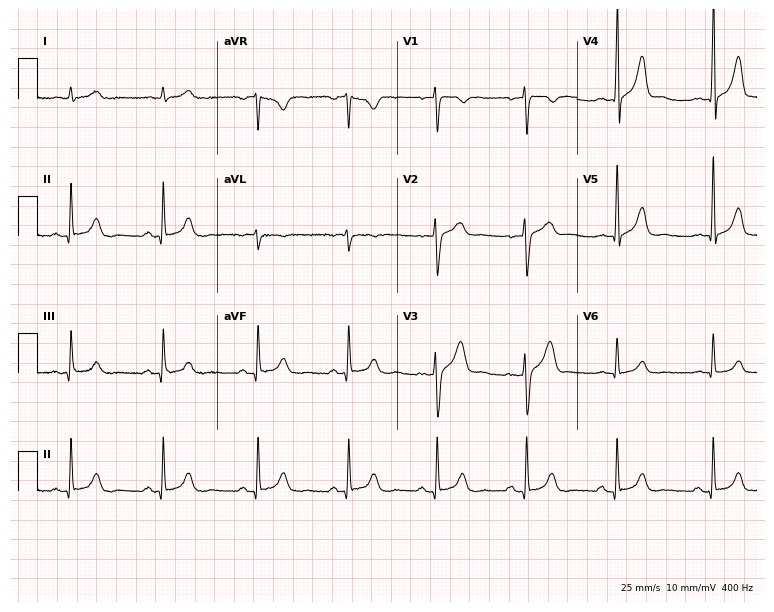
Electrocardiogram, a 37-year-old male patient. Overall reading on record: normal ECG.